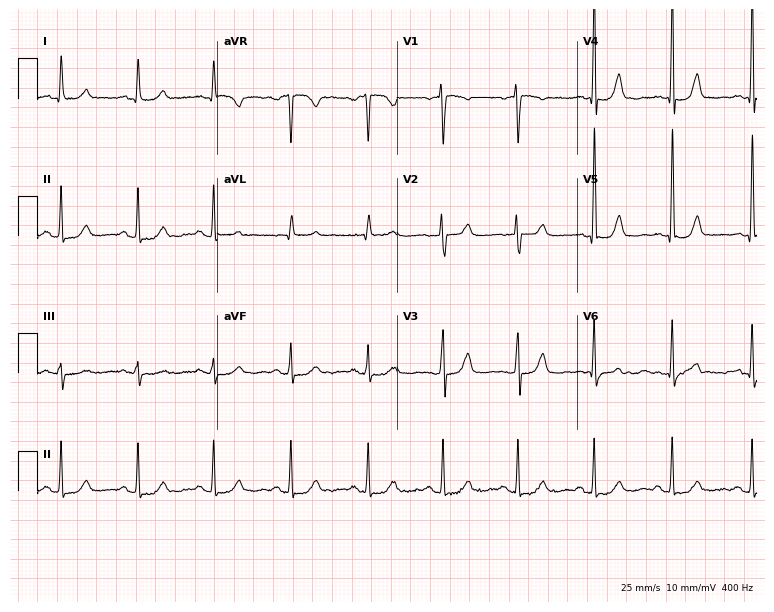
12-lead ECG from a 38-year-old female patient. Screened for six findings — first-degree AV block, right bundle branch block (RBBB), left bundle branch block (LBBB), sinus bradycardia, atrial fibrillation (AF), sinus tachycardia — none is recorded.